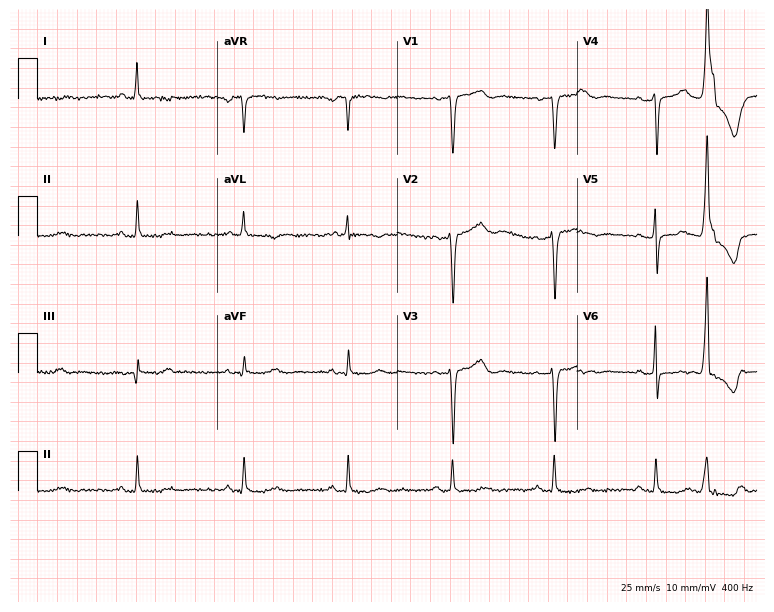
12-lead ECG from a 70-year-old woman. Screened for six findings — first-degree AV block, right bundle branch block, left bundle branch block, sinus bradycardia, atrial fibrillation, sinus tachycardia — none is recorded.